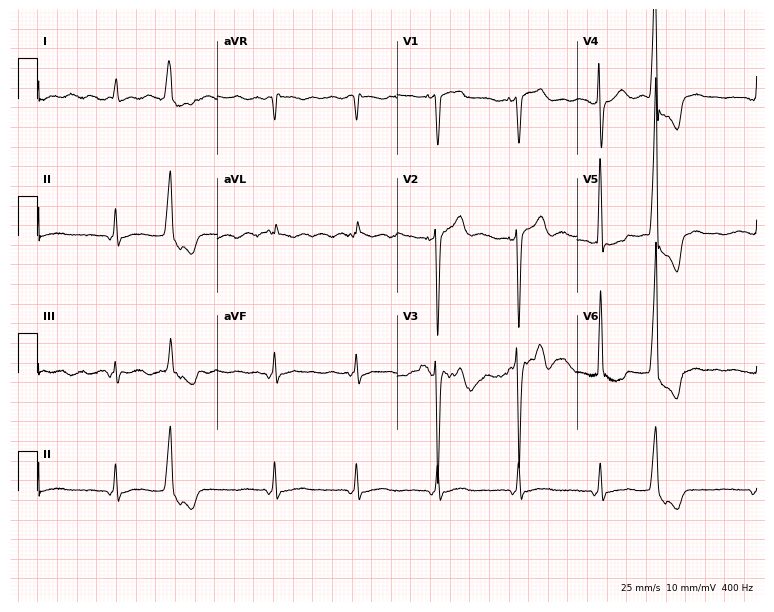
Resting 12-lead electrocardiogram. Patient: an 83-year-old man. None of these six findings is recorded: first-degree AV block, right bundle branch block (RBBB), left bundle branch block (LBBB), sinus bradycardia, atrial fibrillation (AF), sinus tachycardia. Only these six findings were labelled.